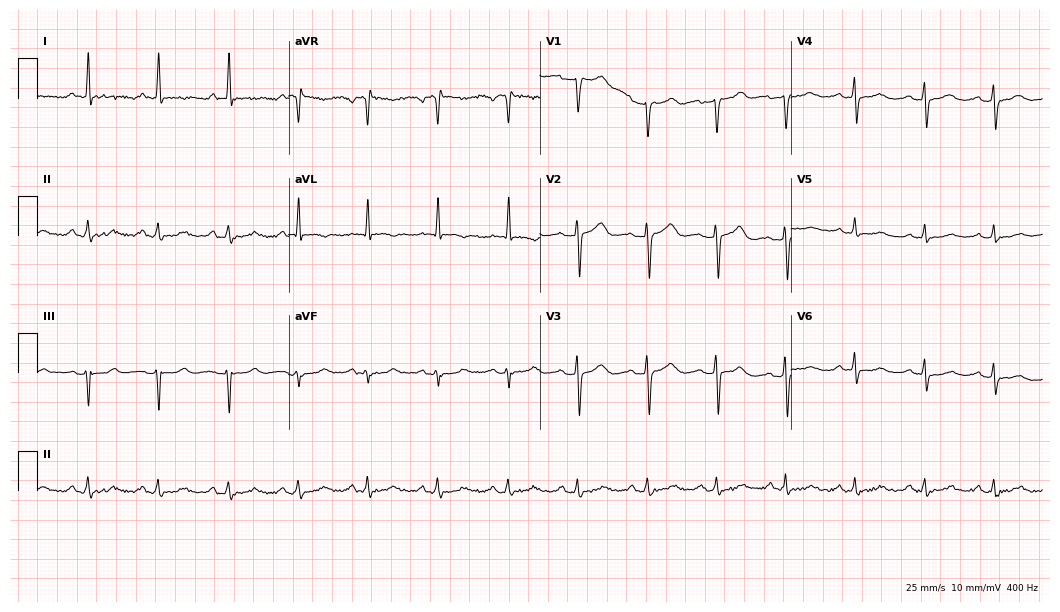
ECG (10.2-second recording at 400 Hz) — a male, 68 years old. Screened for six findings — first-degree AV block, right bundle branch block, left bundle branch block, sinus bradycardia, atrial fibrillation, sinus tachycardia — none is recorded.